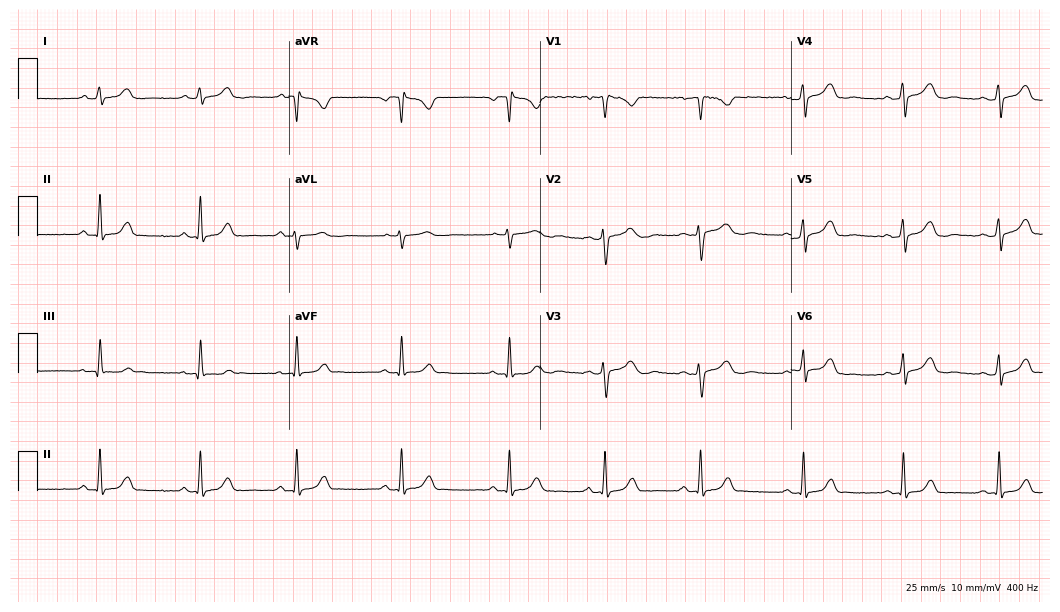
12-lead ECG from a female patient, 32 years old. Recorded interpretation: within normal limits.